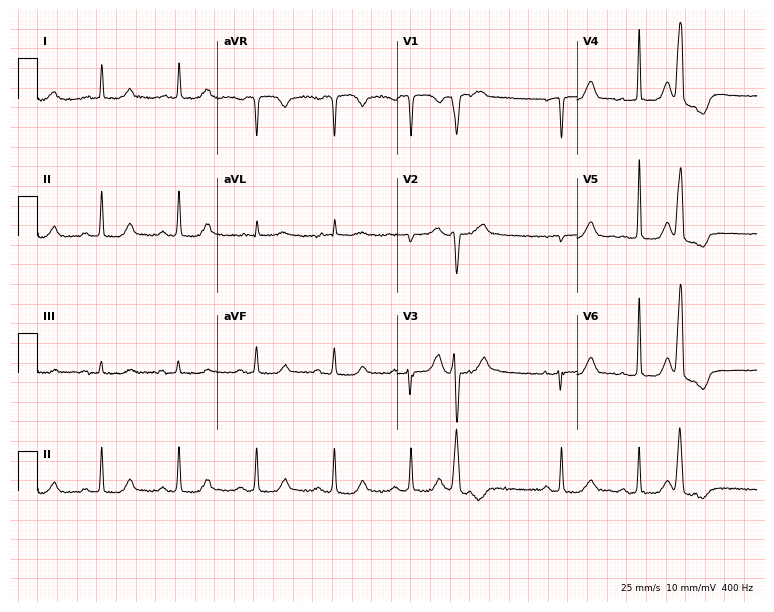
Electrocardiogram (7.3-second recording at 400 Hz), an 80-year-old female patient. Of the six screened findings (first-degree AV block, right bundle branch block (RBBB), left bundle branch block (LBBB), sinus bradycardia, atrial fibrillation (AF), sinus tachycardia), none is recorded.